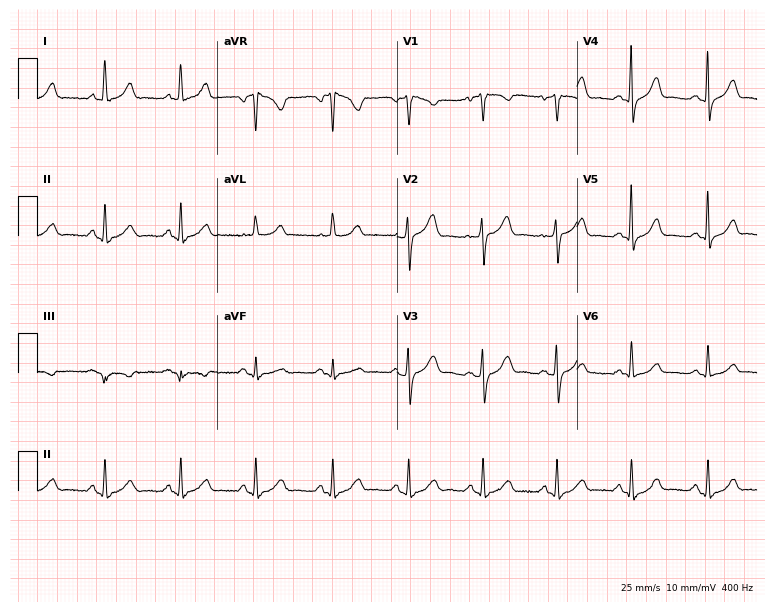
12-lead ECG from a 55-year-old female. Labelled as a normal ECG.